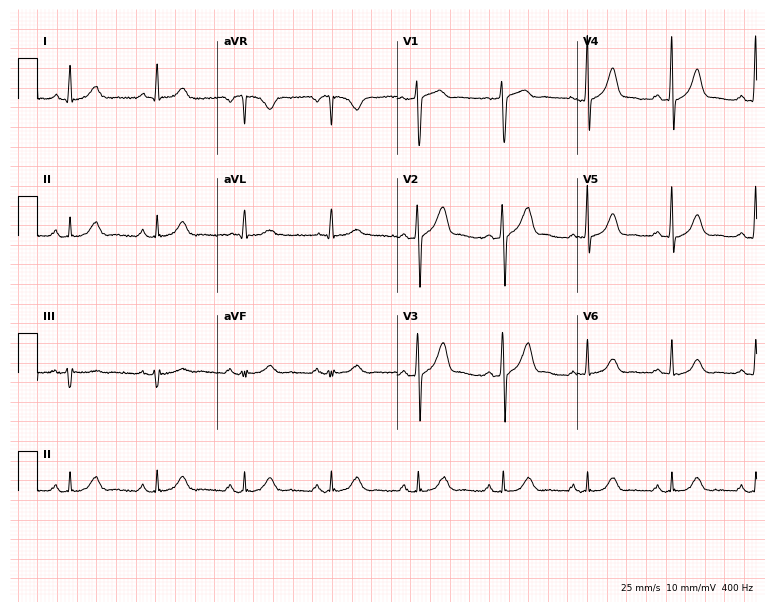
Standard 12-lead ECG recorded from a 68-year-old male patient (7.3-second recording at 400 Hz). Read as a normal ECG.